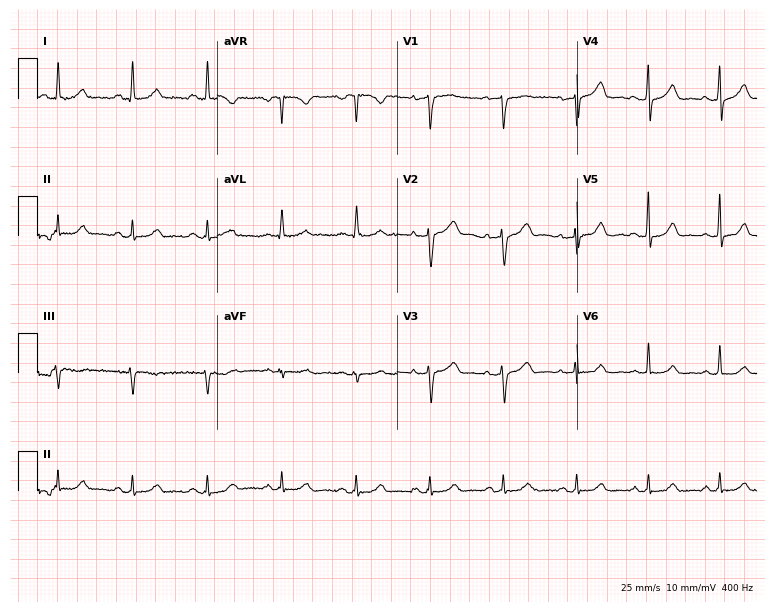
Resting 12-lead electrocardiogram. Patient: a female, 65 years old. Read as a normal ECG.